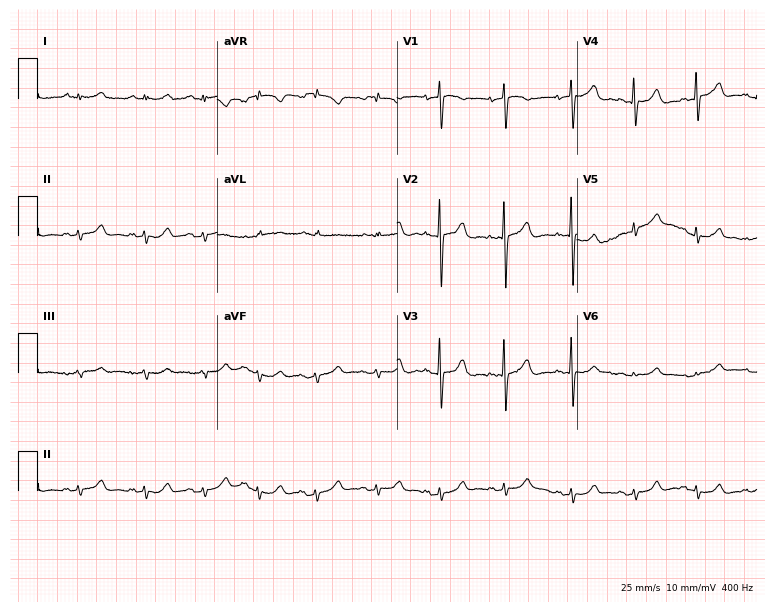
12-lead ECG from a woman, 78 years old. No first-degree AV block, right bundle branch block, left bundle branch block, sinus bradycardia, atrial fibrillation or sinus tachycardia recorded for this tracing.